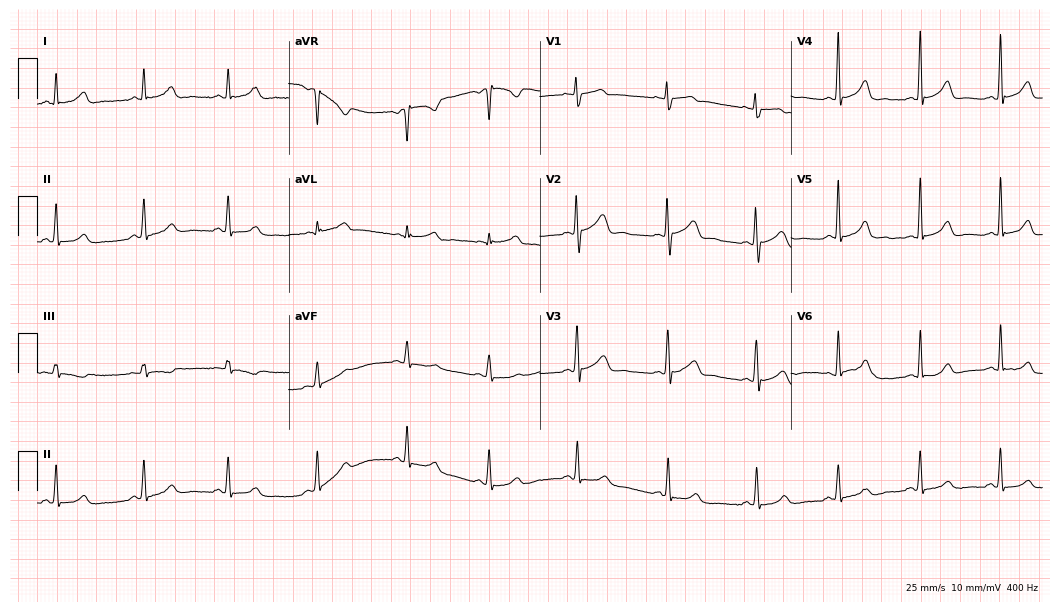
Resting 12-lead electrocardiogram. Patient: a woman, 35 years old. None of these six findings is recorded: first-degree AV block, right bundle branch block, left bundle branch block, sinus bradycardia, atrial fibrillation, sinus tachycardia. Only these six findings were labelled.